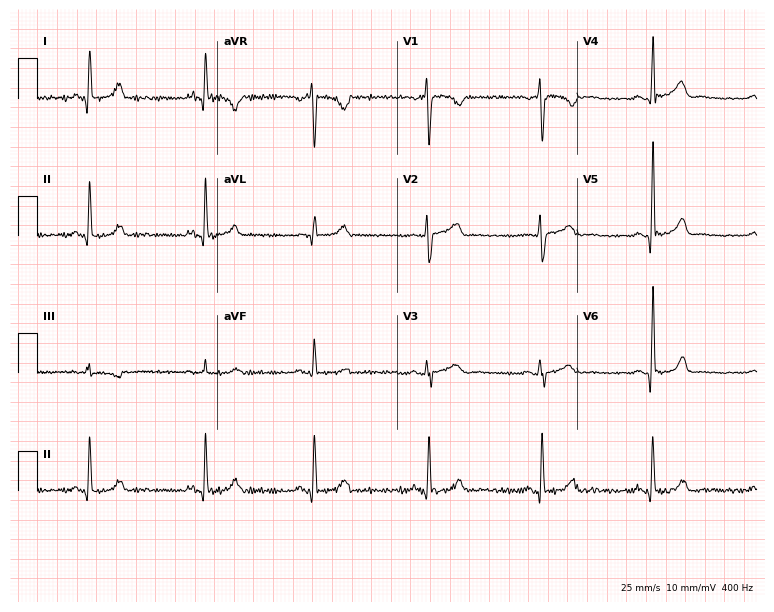
12-lead ECG from a female, 50 years old. Labelled as a normal ECG.